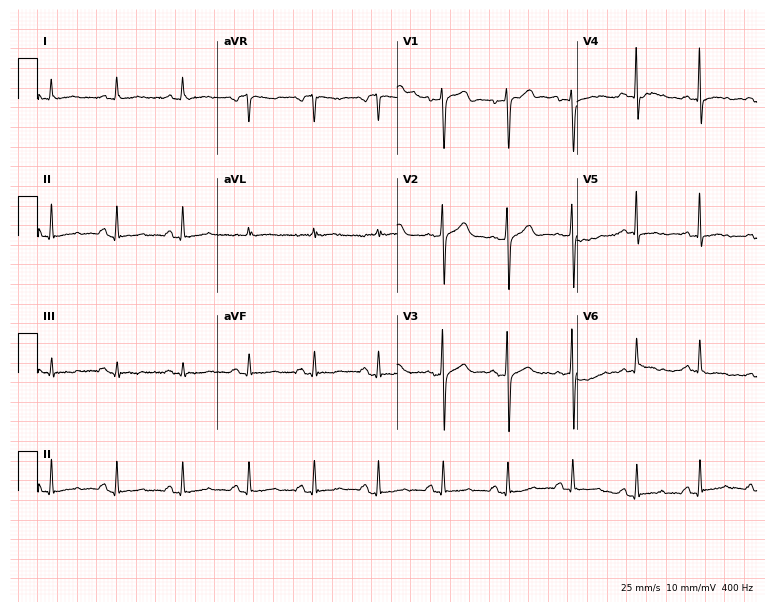
Resting 12-lead electrocardiogram (7.3-second recording at 400 Hz). Patient: a woman, 47 years old. None of these six findings is recorded: first-degree AV block, right bundle branch block, left bundle branch block, sinus bradycardia, atrial fibrillation, sinus tachycardia. Only these six findings were labelled.